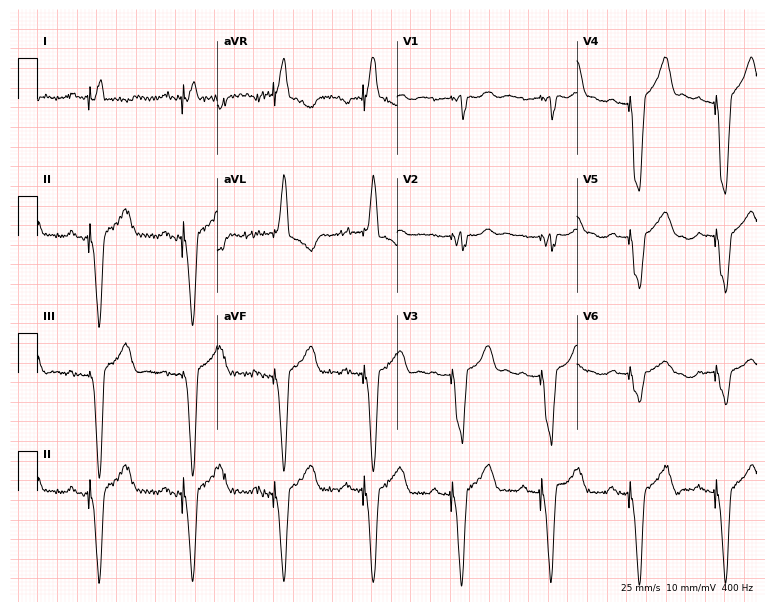
12-lead ECG from an 83-year-old female patient (7.3-second recording at 400 Hz). No first-degree AV block, right bundle branch block, left bundle branch block, sinus bradycardia, atrial fibrillation or sinus tachycardia recorded for this tracing.